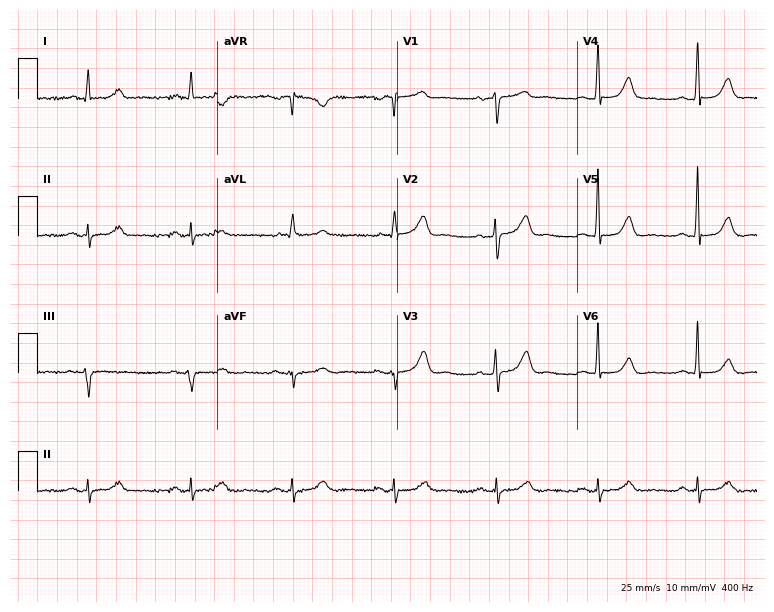
Resting 12-lead electrocardiogram (7.3-second recording at 400 Hz). Patient: a male, 73 years old. Read as a normal ECG.